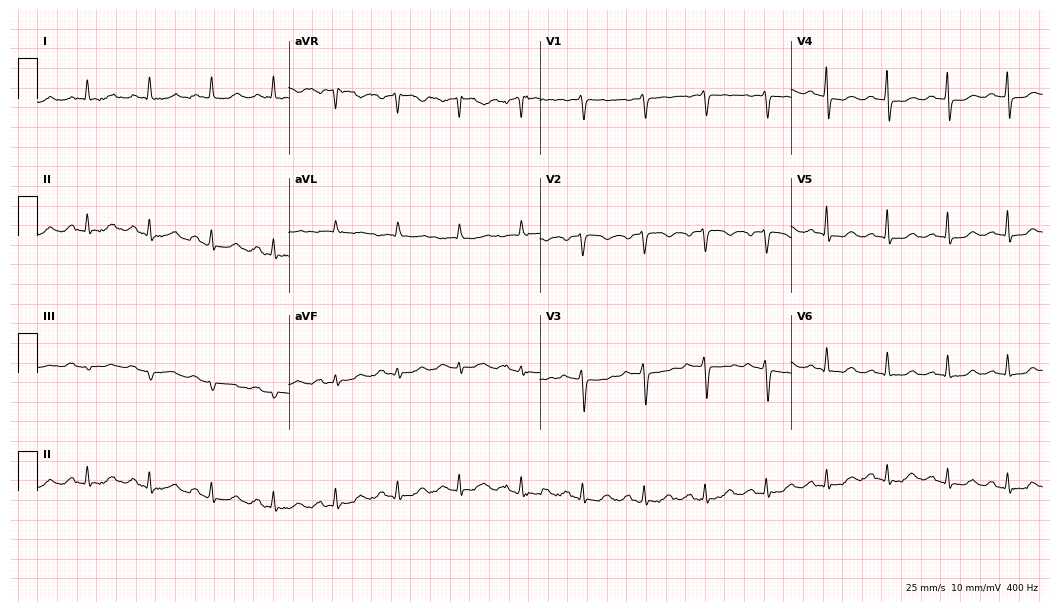
Resting 12-lead electrocardiogram (10.2-second recording at 400 Hz). Patient: a 55-year-old woman. The tracing shows first-degree AV block.